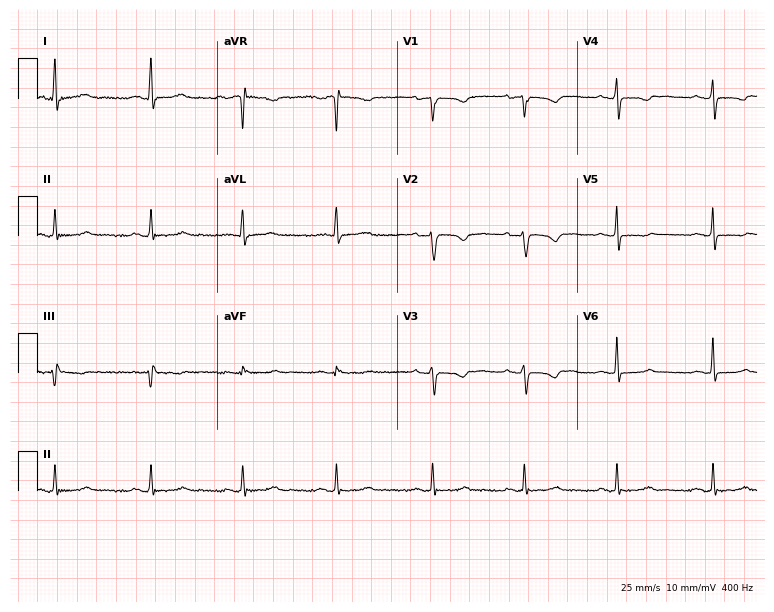
Electrocardiogram, a 48-year-old female patient. Overall reading on record: normal ECG.